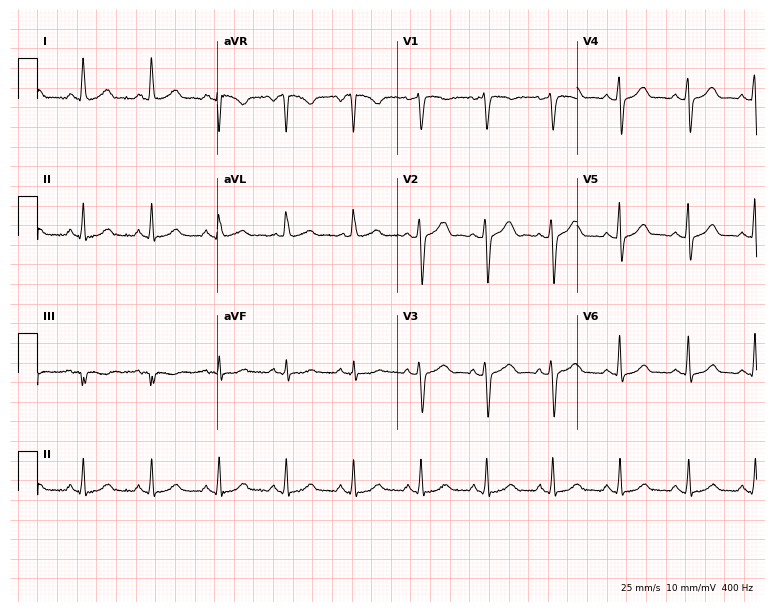
Resting 12-lead electrocardiogram. Patient: a 46-year-old female. None of these six findings is recorded: first-degree AV block, right bundle branch block (RBBB), left bundle branch block (LBBB), sinus bradycardia, atrial fibrillation (AF), sinus tachycardia. Only these six findings were labelled.